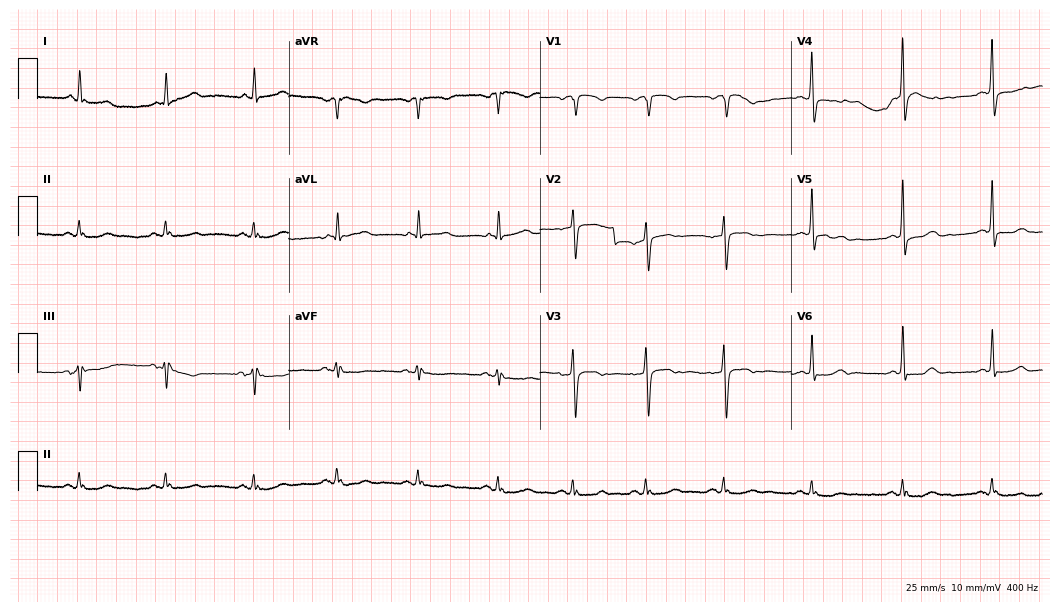
Electrocardiogram (10.2-second recording at 400 Hz), a female patient, 73 years old. Of the six screened findings (first-degree AV block, right bundle branch block, left bundle branch block, sinus bradycardia, atrial fibrillation, sinus tachycardia), none is recorded. Only these six findings were labelled.